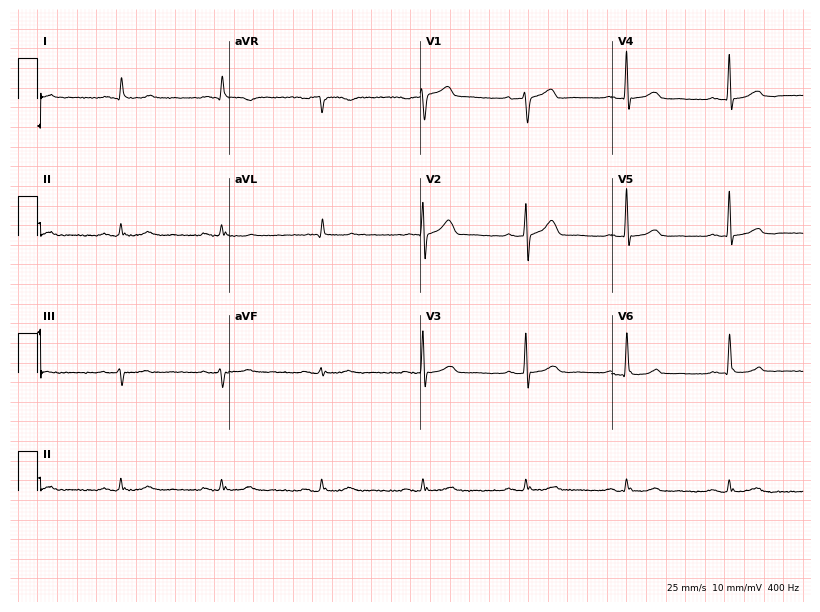
Resting 12-lead electrocardiogram. Patient: a male, 80 years old. Read as a normal ECG.